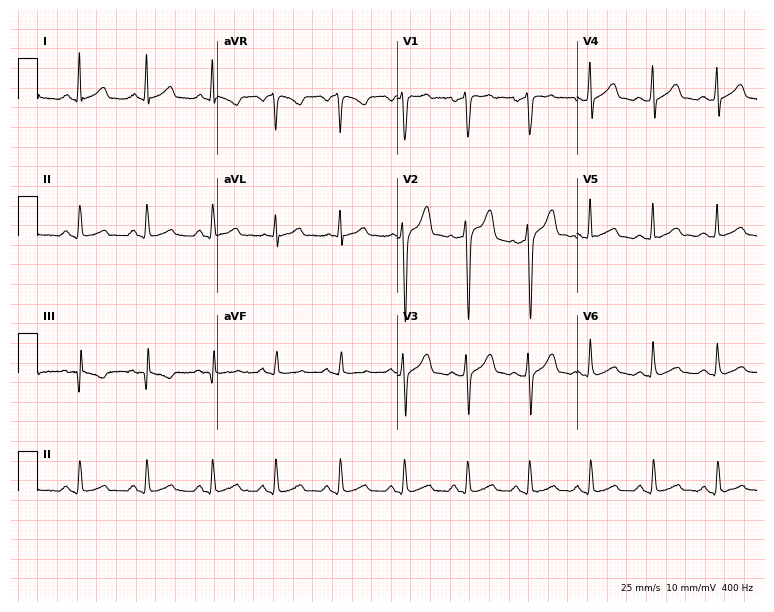
Resting 12-lead electrocardiogram. Patient: a man, 32 years old. Read as a normal ECG.